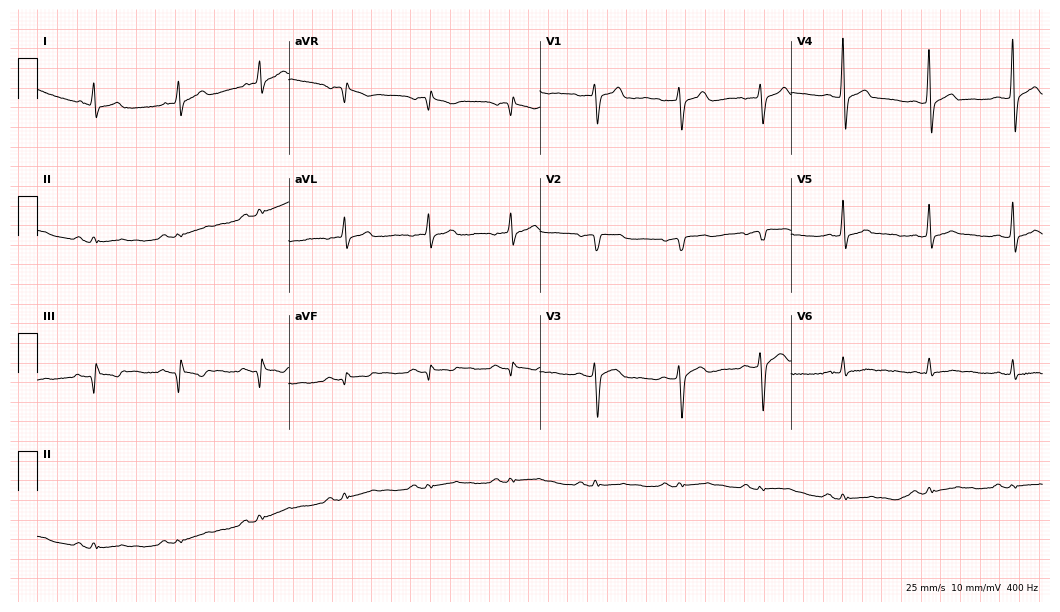
Electrocardiogram (10.2-second recording at 400 Hz), a male, 26 years old. Of the six screened findings (first-degree AV block, right bundle branch block, left bundle branch block, sinus bradycardia, atrial fibrillation, sinus tachycardia), none is recorded.